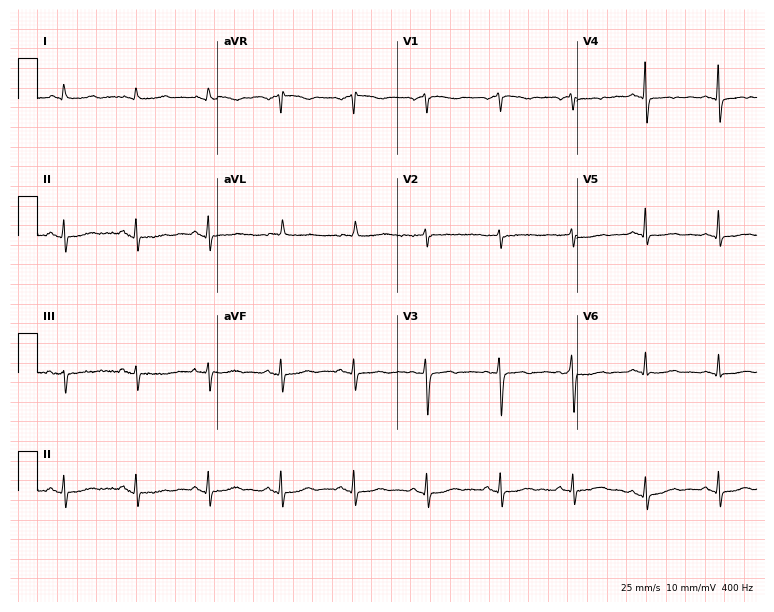
ECG (7.3-second recording at 400 Hz) — a female patient, 78 years old. Screened for six findings — first-degree AV block, right bundle branch block, left bundle branch block, sinus bradycardia, atrial fibrillation, sinus tachycardia — none is recorded.